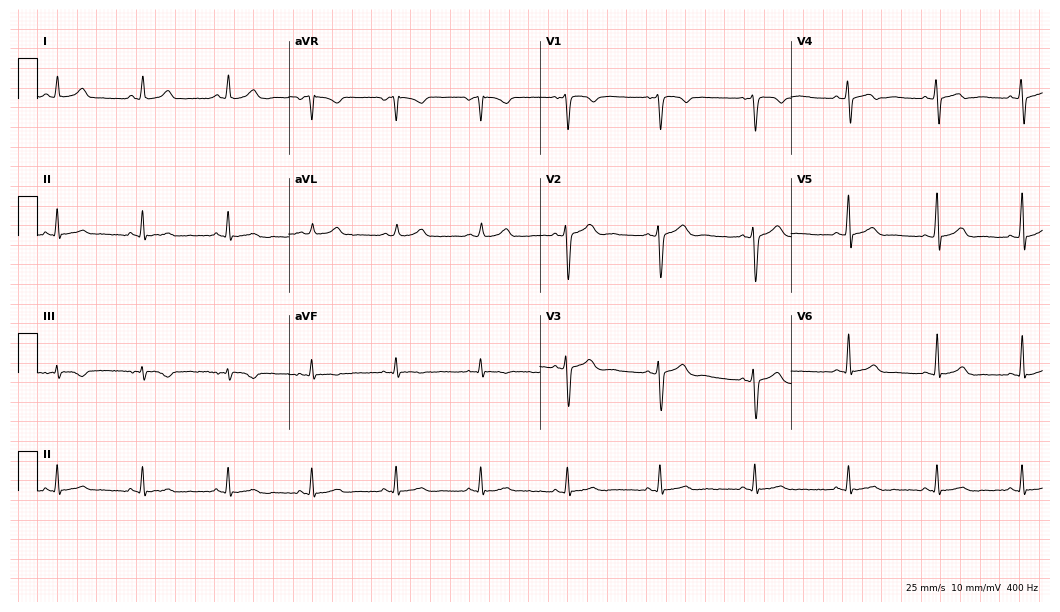
ECG — a 41-year-old female patient. Labelled as a normal ECG.